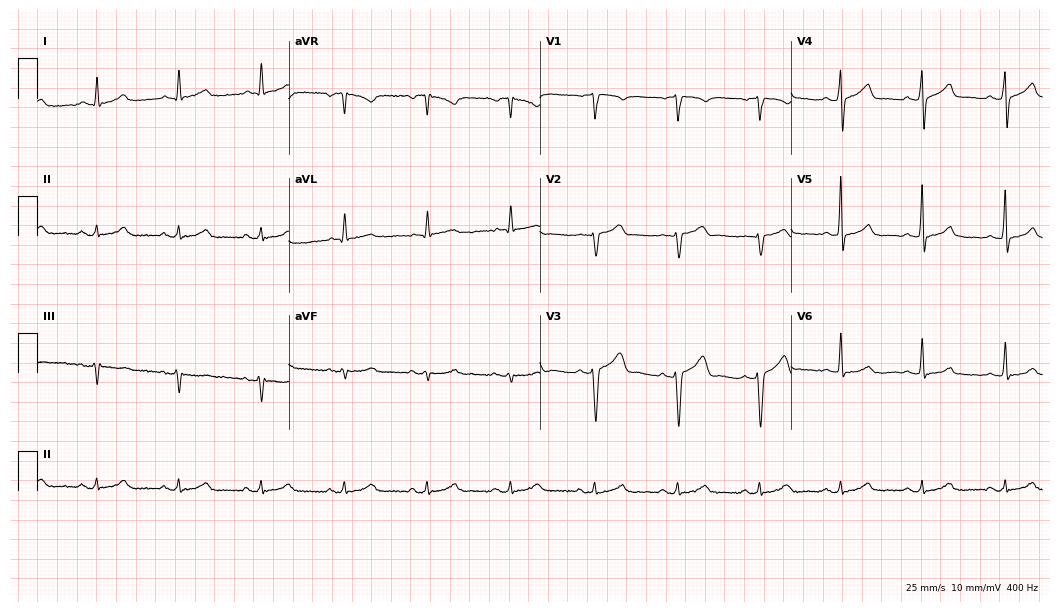
Resting 12-lead electrocardiogram (10.2-second recording at 400 Hz). Patient: a 49-year-old man. Read as a normal ECG.